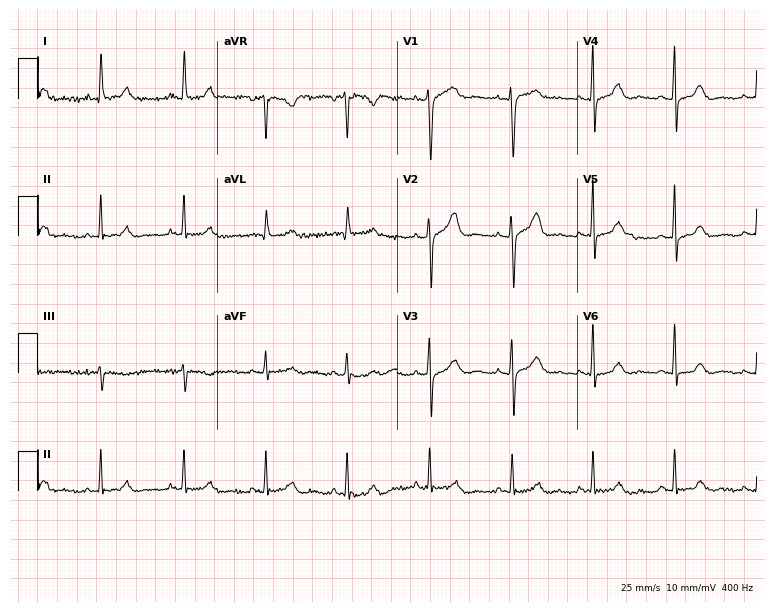
12-lead ECG from a woman, 55 years old. Screened for six findings — first-degree AV block, right bundle branch block, left bundle branch block, sinus bradycardia, atrial fibrillation, sinus tachycardia — none is recorded. Findings outside these six are not listed.